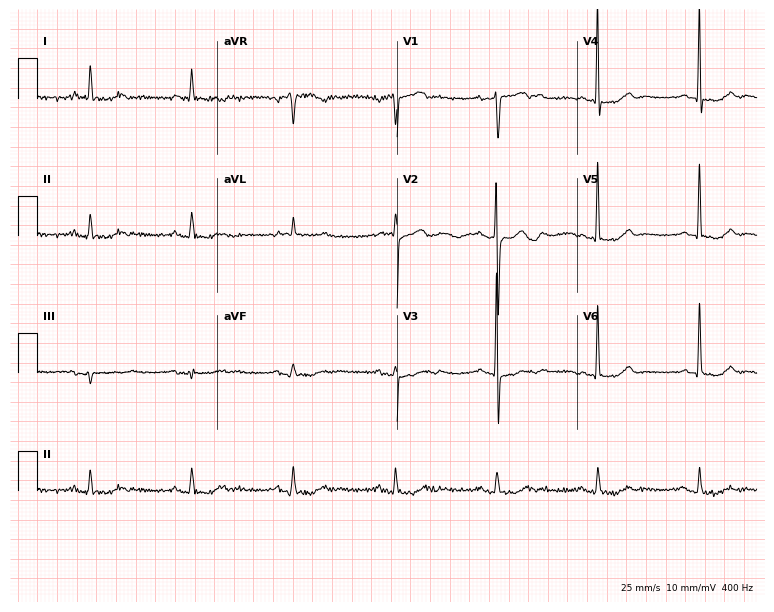
ECG (7.3-second recording at 400 Hz) — a man, 83 years old. Screened for six findings — first-degree AV block, right bundle branch block, left bundle branch block, sinus bradycardia, atrial fibrillation, sinus tachycardia — none is recorded.